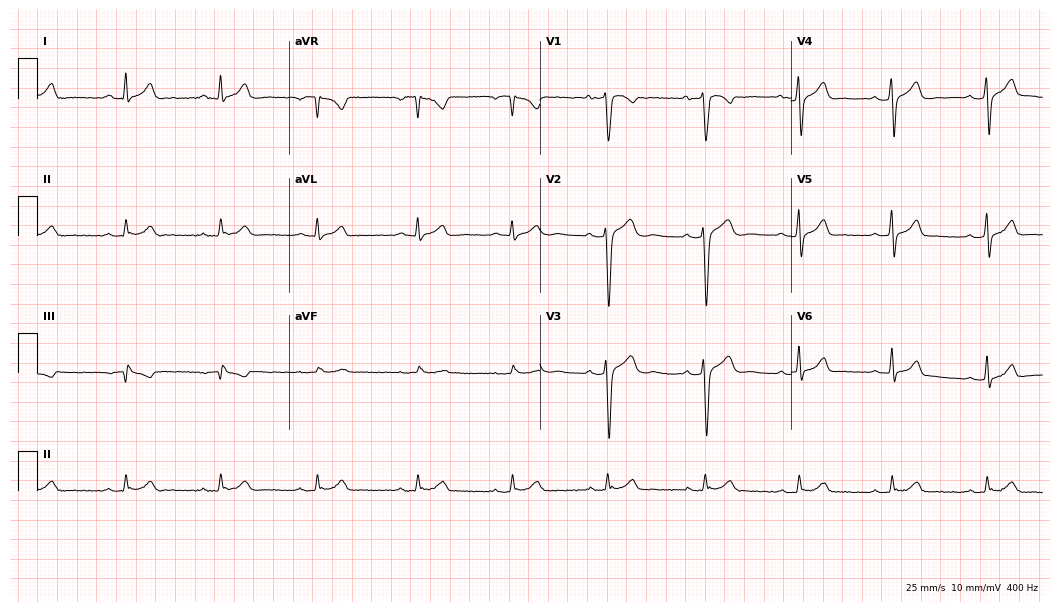
ECG — a male, 31 years old. Labelled as a normal ECG.